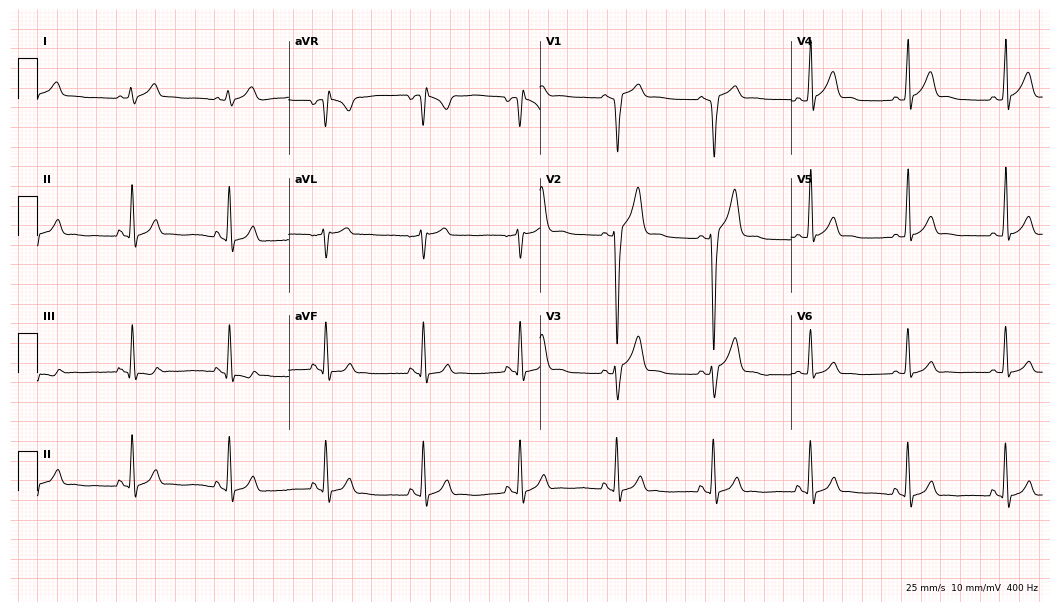
Standard 12-lead ECG recorded from a 22-year-old male (10.2-second recording at 400 Hz). None of these six findings is recorded: first-degree AV block, right bundle branch block, left bundle branch block, sinus bradycardia, atrial fibrillation, sinus tachycardia.